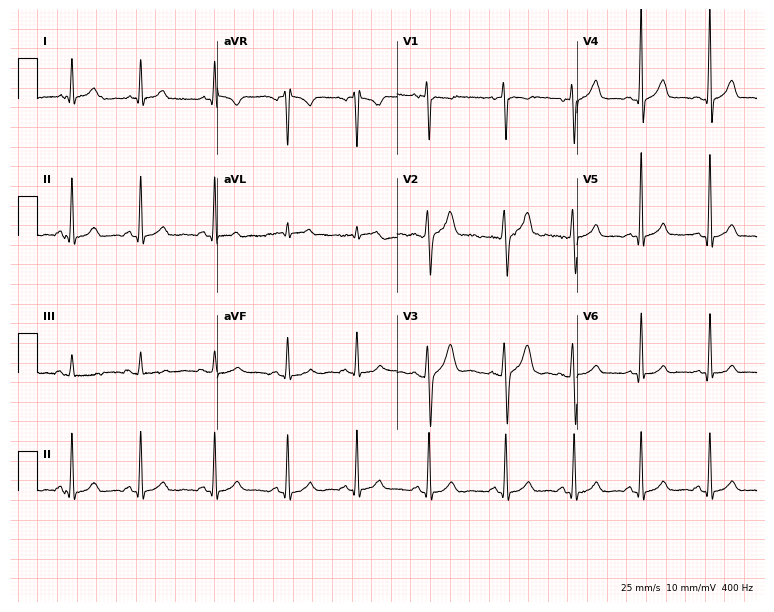
Standard 12-lead ECG recorded from a 21-year-old man (7.3-second recording at 400 Hz). None of these six findings is recorded: first-degree AV block, right bundle branch block (RBBB), left bundle branch block (LBBB), sinus bradycardia, atrial fibrillation (AF), sinus tachycardia. Other findings, if any, are not listed.